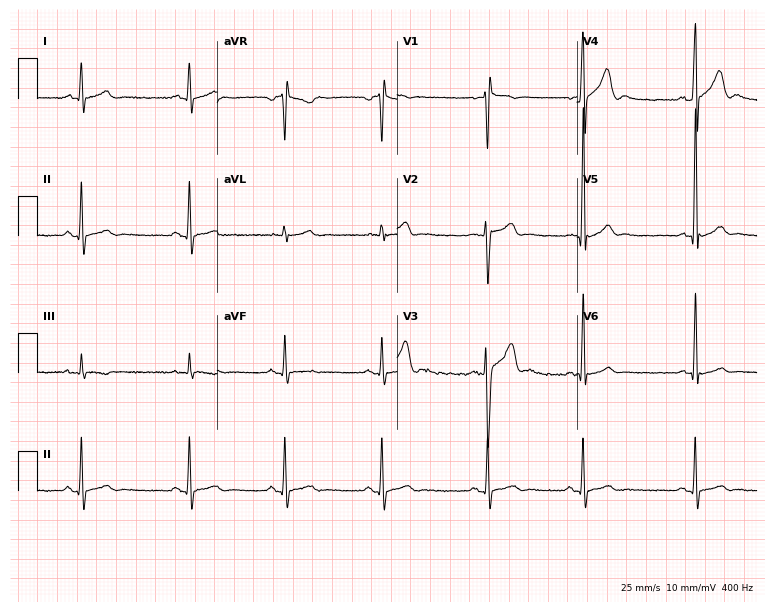
12-lead ECG from a male patient, 17 years old. Screened for six findings — first-degree AV block, right bundle branch block, left bundle branch block, sinus bradycardia, atrial fibrillation, sinus tachycardia — none is recorded.